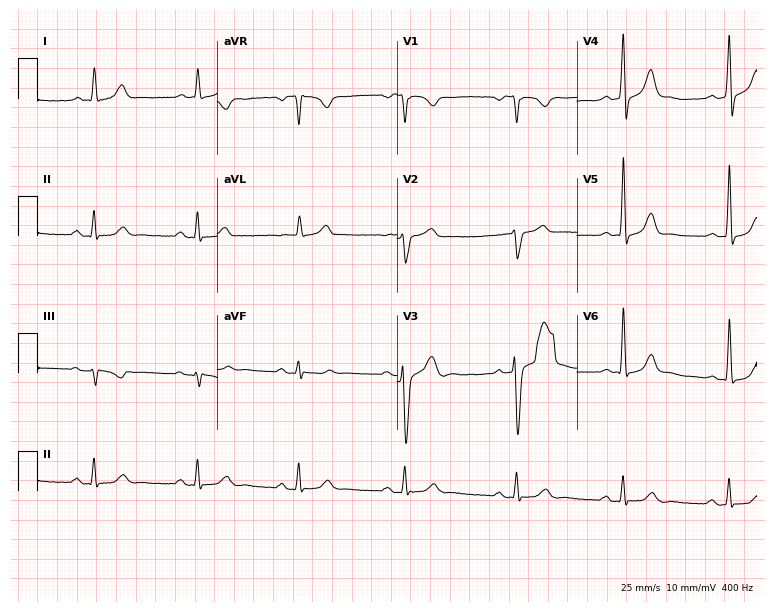
12-lead ECG (7.3-second recording at 400 Hz) from a 47-year-old man. Screened for six findings — first-degree AV block, right bundle branch block, left bundle branch block, sinus bradycardia, atrial fibrillation, sinus tachycardia — none is recorded. Only these six findings were labelled.